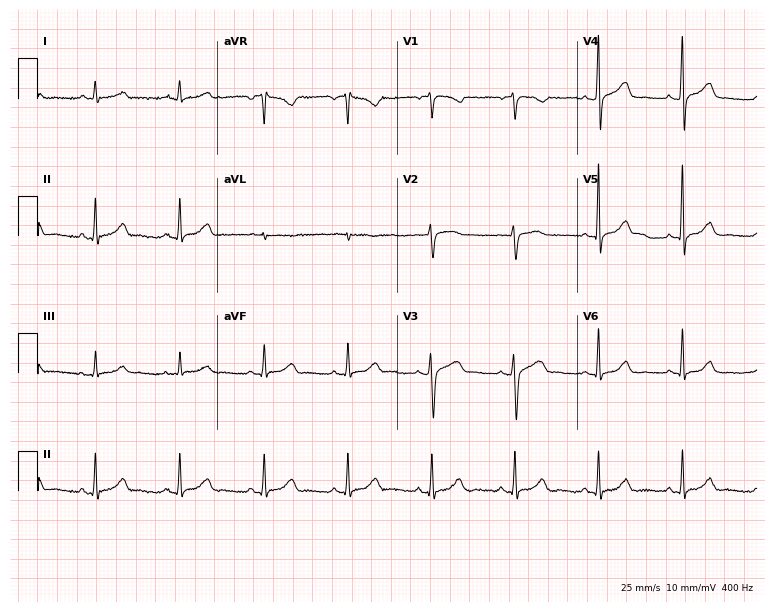
Standard 12-lead ECG recorded from a 49-year-old female patient (7.3-second recording at 400 Hz). Read as a normal ECG.